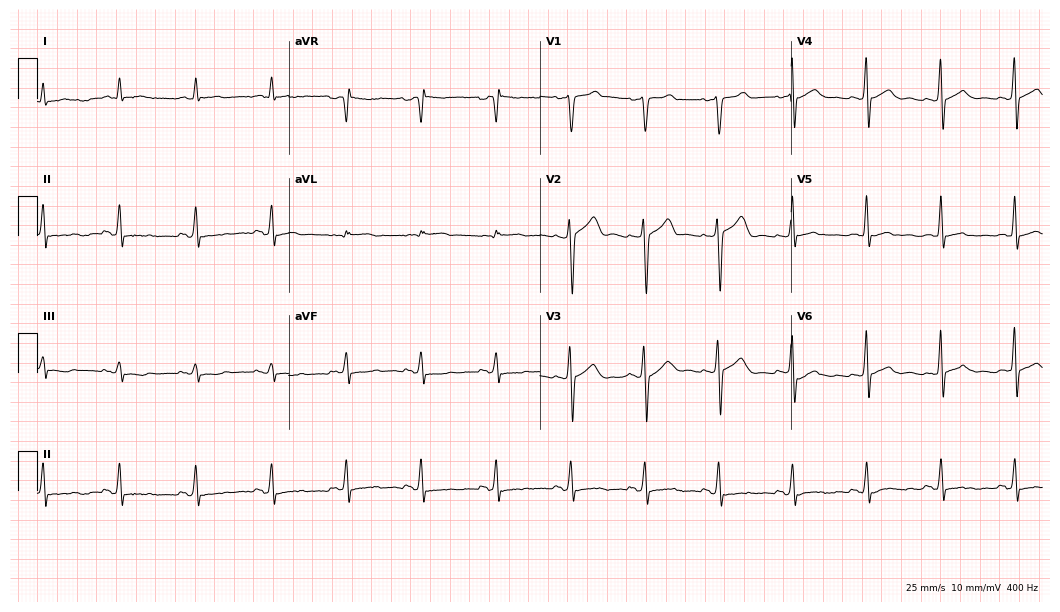
12-lead ECG from a male patient, 69 years old. Recorded interpretation: within normal limits.